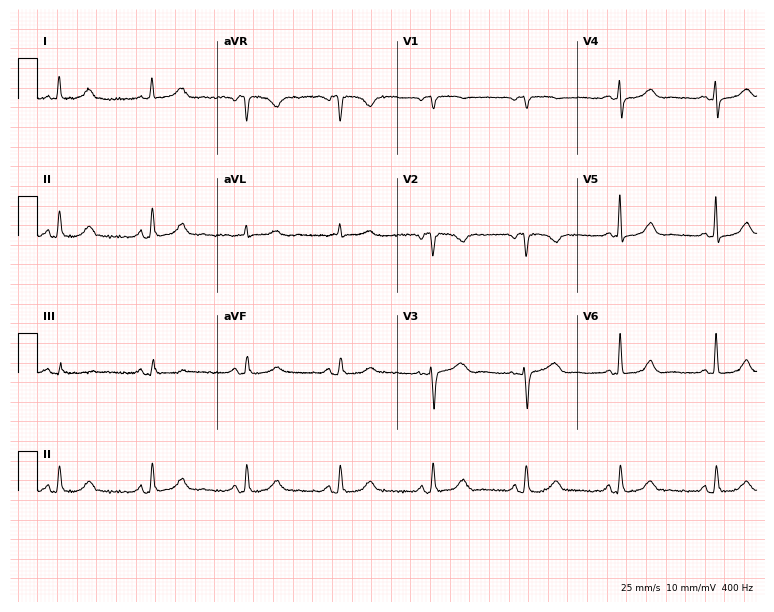
12-lead ECG from a 70-year-old female. Recorded interpretation: within normal limits.